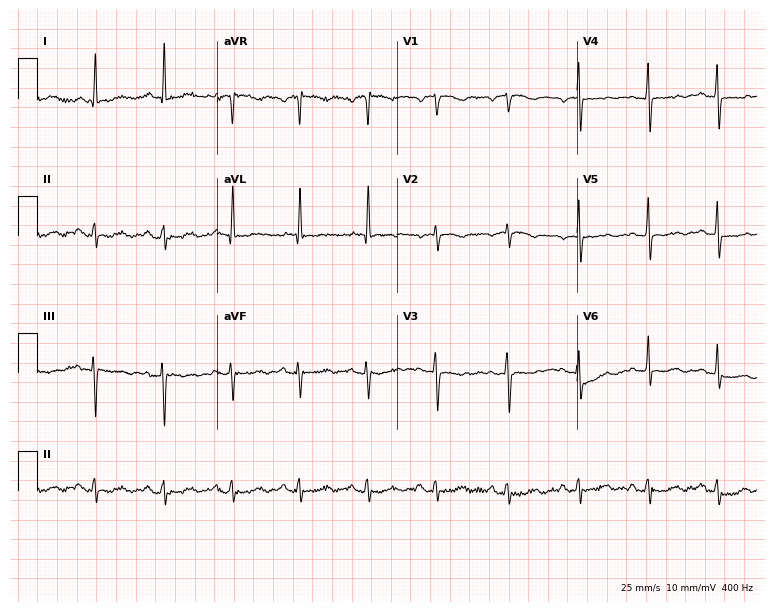
ECG (7.3-second recording at 400 Hz) — a 68-year-old woman. Labelled as a normal ECG.